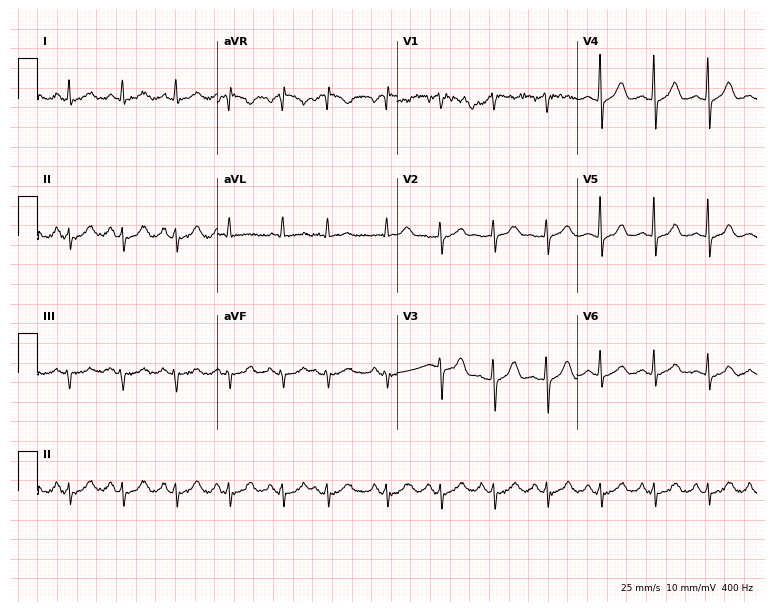
Resting 12-lead electrocardiogram. Patient: an 81-year-old female. The tracing shows sinus tachycardia (a sinus rate of 100 beats per minute or more).